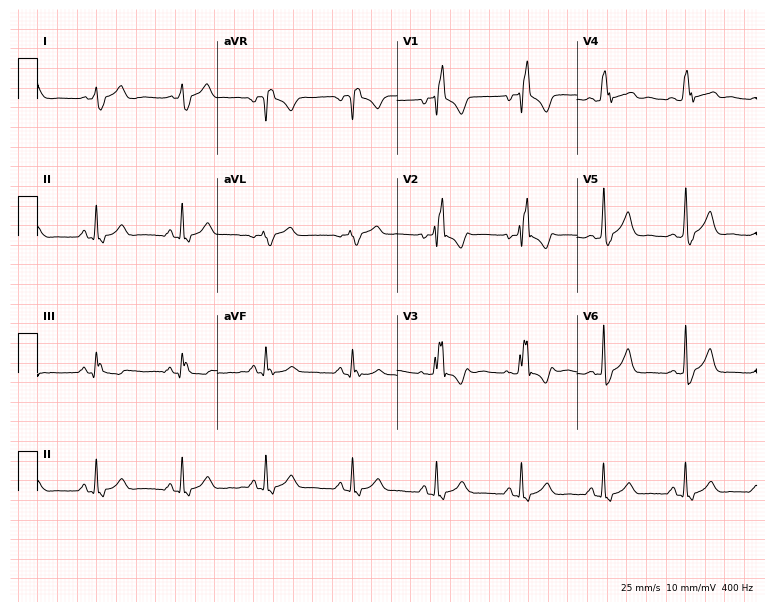
12-lead ECG from a 26-year-old male patient. Findings include right bundle branch block.